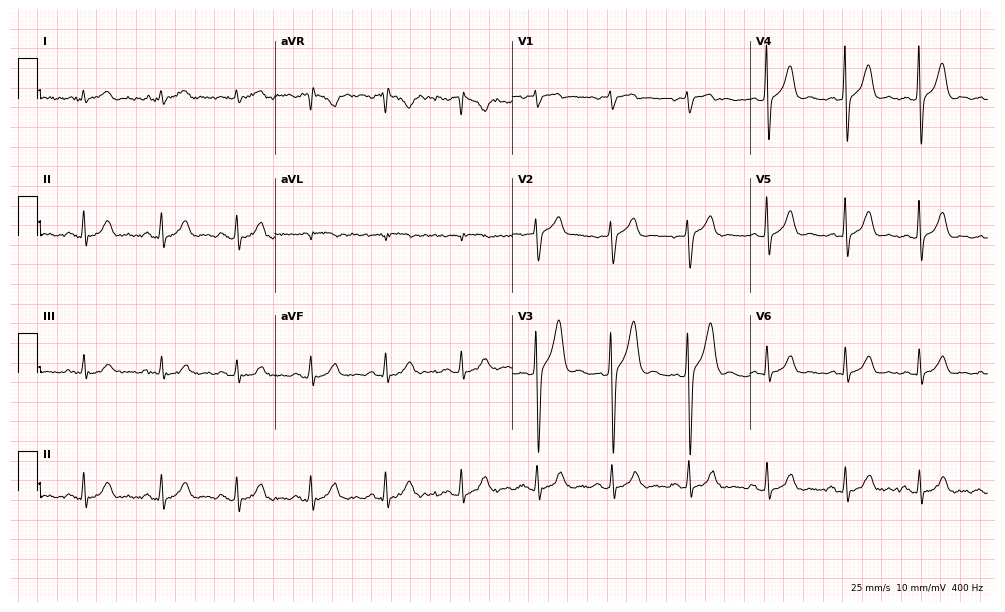
12-lead ECG from a man, 42 years old (9.7-second recording at 400 Hz). Recorded interpretation: within normal limits.